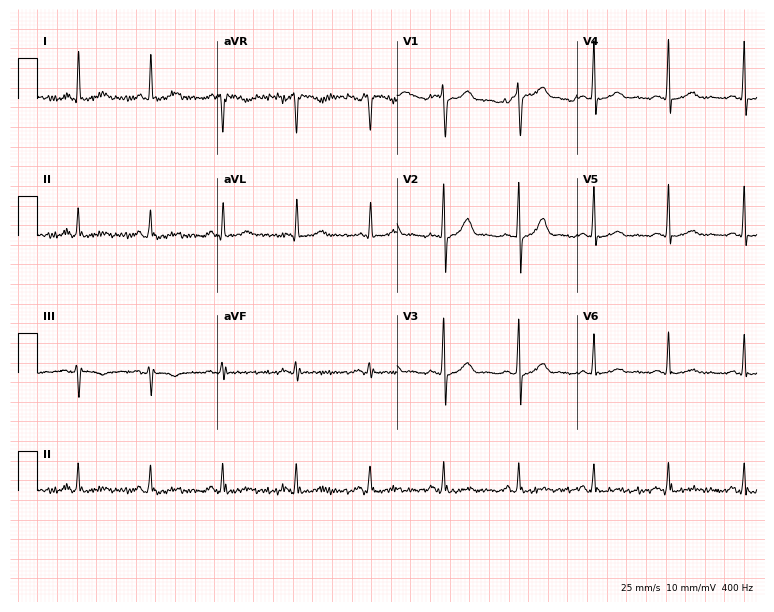
ECG (7.3-second recording at 400 Hz) — a 50-year-old male patient. Labelled as a normal ECG.